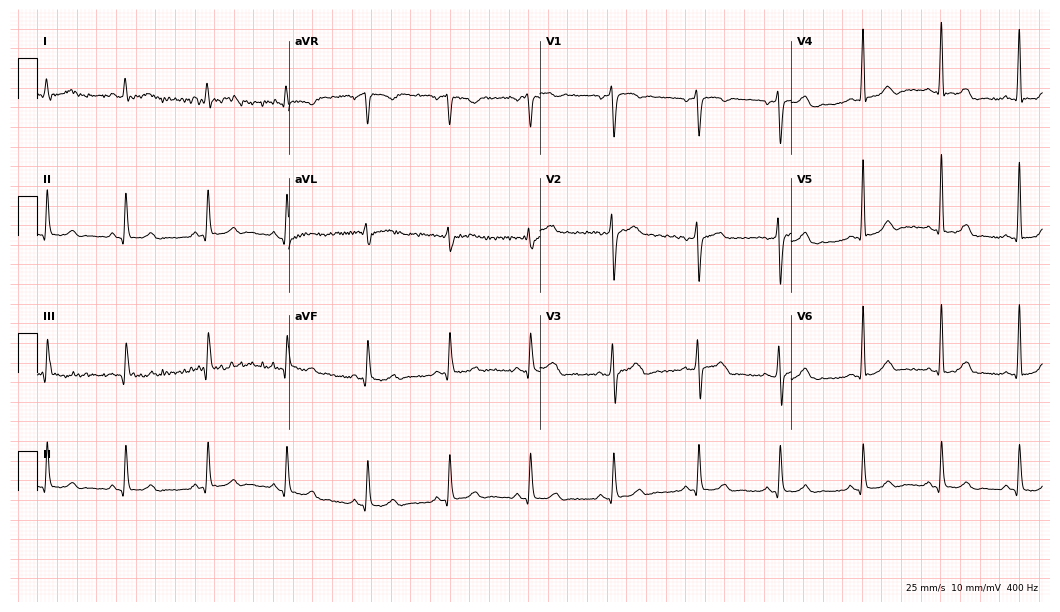
12-lead ECG from a male patient, 44 years old (10.2-second recording at 400 Hz). No first-degree AV block, right bundle branch block, left bundle branch block, sinus bradycardia, atrial fibrillation or sinus tachycardia recorded for this tracing.